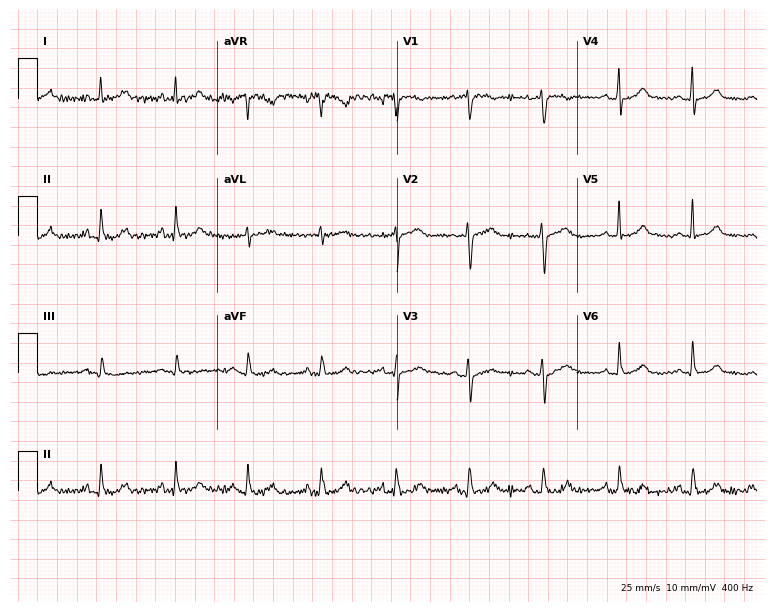
12-lead ECG from a 39-year-old female patient. No first-degree AV block, right bundle branch block, left bundle branch block, sinus bradycardia, atrial fibrillation or sinus tachycardia recorded for this tracing. Other findings, if any, are not listed.